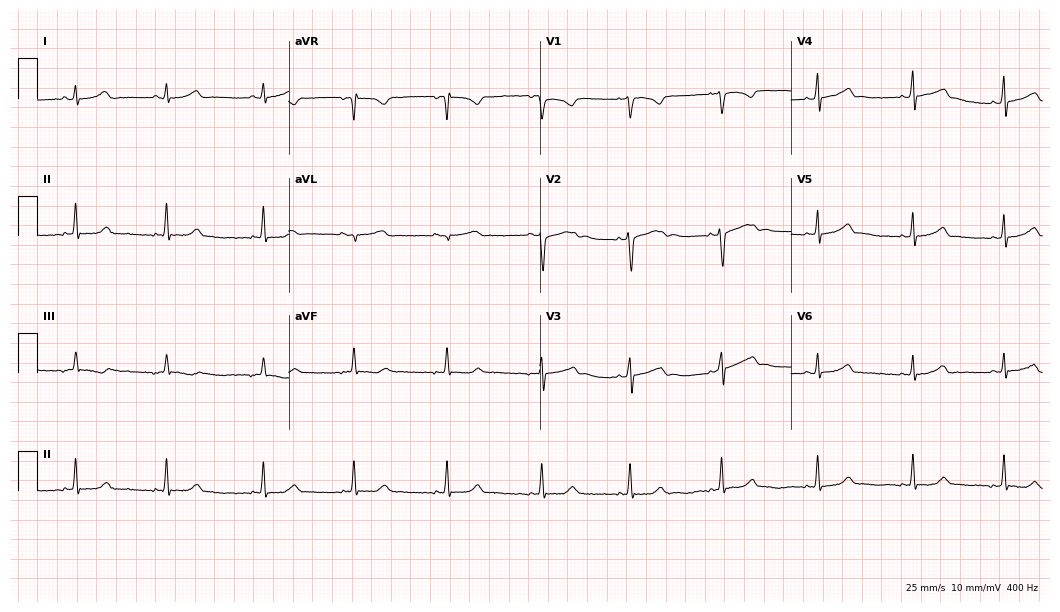
Electrocardiogram (10.2-second recording at 400 Hz), a 23-year-old female. Overall reading on record: normal ECG.